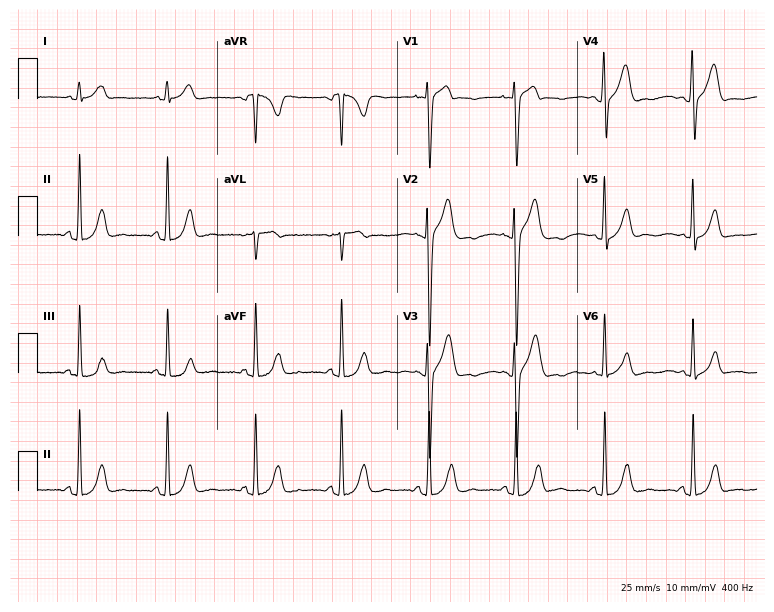
Standard 12-lead ECG recorded from a 23-year-old male. Read as a normal ECG.